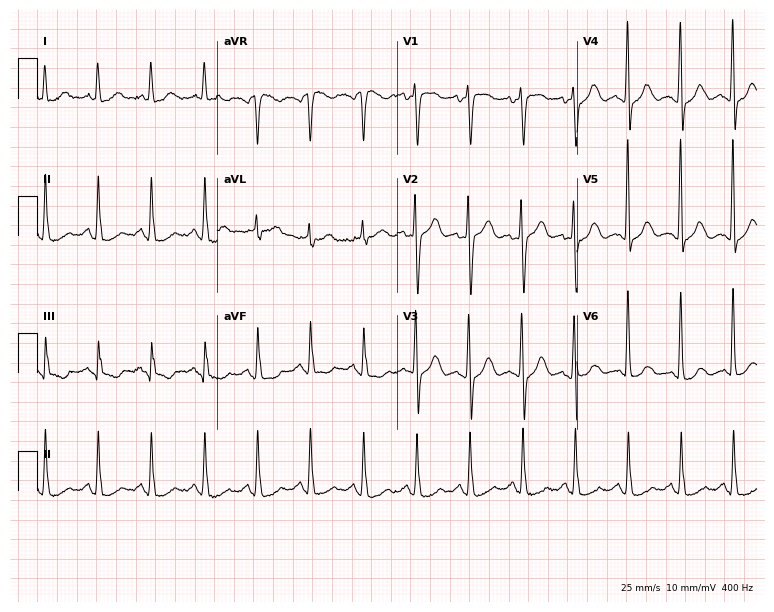
Electrocardiogram (7.3-second recording at 400 Hz), a female patient, 72 years old. Of the six screened findings (first-degree AV block, right bundle branch block, left bundle branch block, sinus bradycardia, atrial fibrillation, sinus tachycardia), none is recorded.